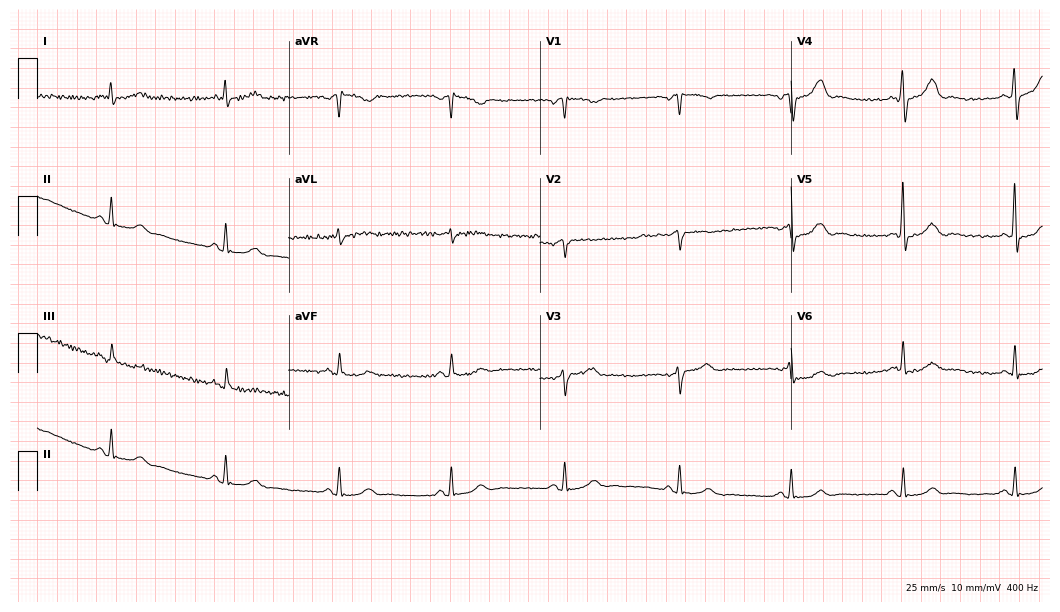
Electrocardiogram (10.2-second recording at 400 Hz), a 64-year-old man. Interpretation includes sinus bradycardia (a sinus rate of 50 beats per minute or less).